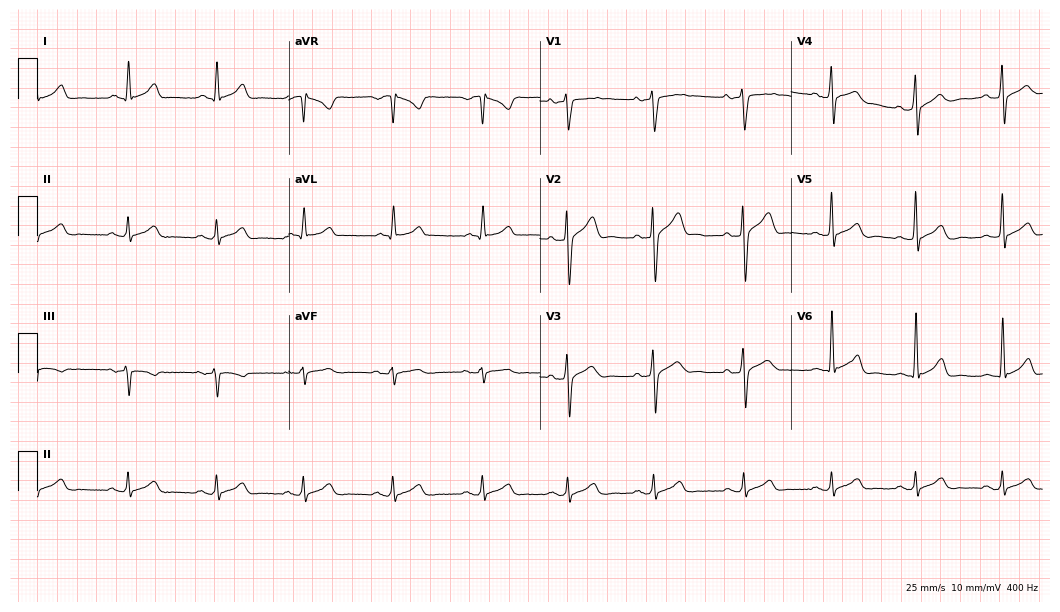
ECG (10.2-second recording at 400 Hz) — a male patient, 35 years old. Labelled as a normal ECG.